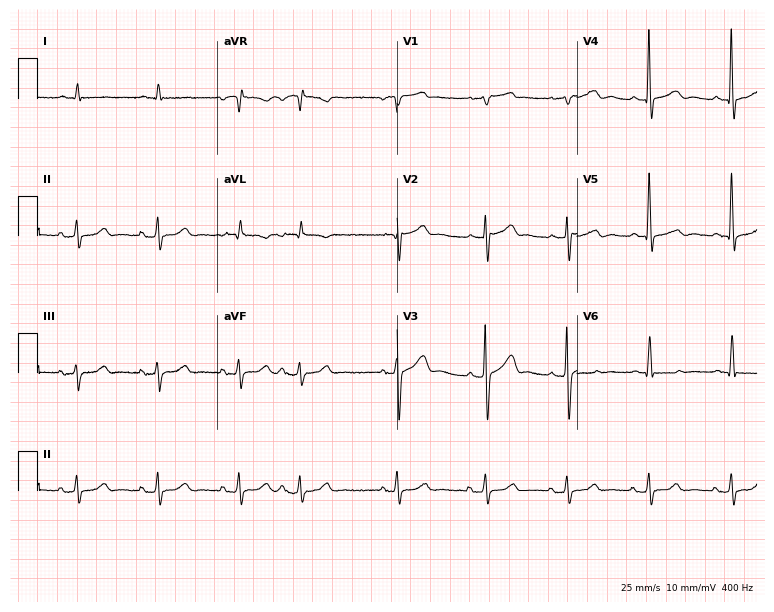
12-lead ECG from a male, 79 years old (7.3-second recording at 400 Hz). Recorded interpretation: within normal limits.